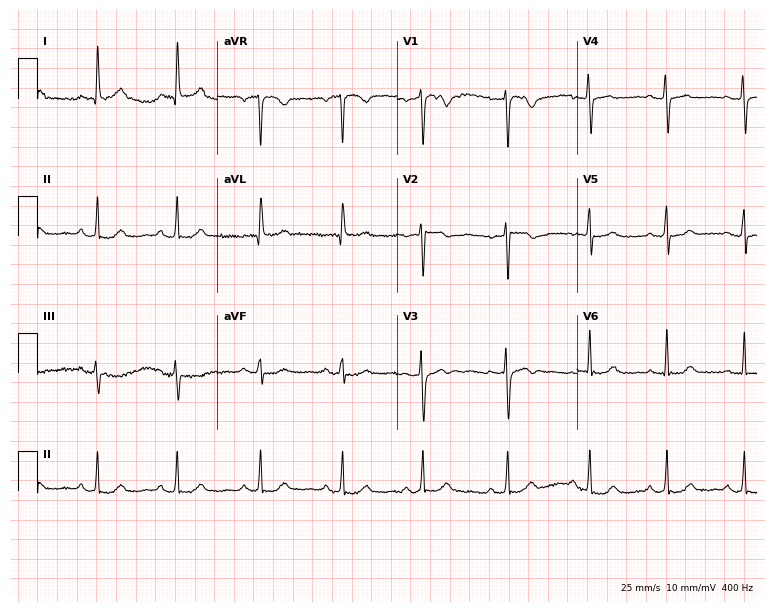
Electrocardiogram, a woman, 56 years old. Of the six screened findings (first-degree AV block, right bundle branch block, left bundle branch block, sinus bradycardia, atrial fibrillation, sinus tachycardia), none is recorded. Only these six findings were labelled.